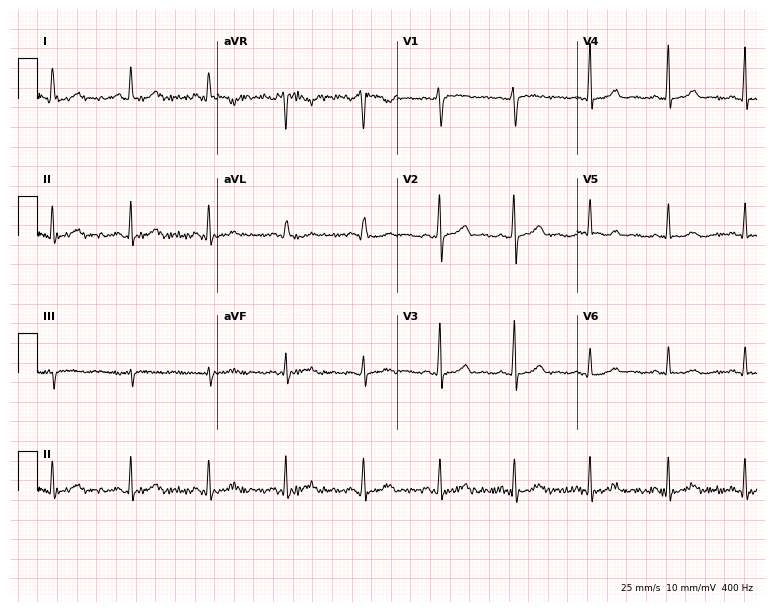
Electrocardiogram, a woman, 41 years old. Overall reading on record: normal ECG.